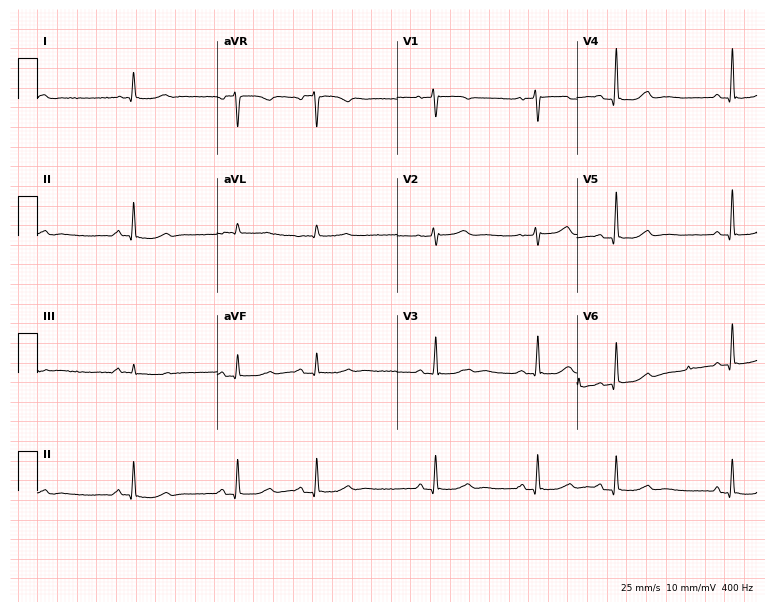
Standard 12-lead ECG recorded from a female, 81 years old (7.3-second recording at 400 Hz). None of these six findings is recorded: first-degree AV block, right bundle branch block (RBBB), left bundle branch block (LBBB), sinus bradycardia, atrial fibrillation (AF), sinus tachycardia.